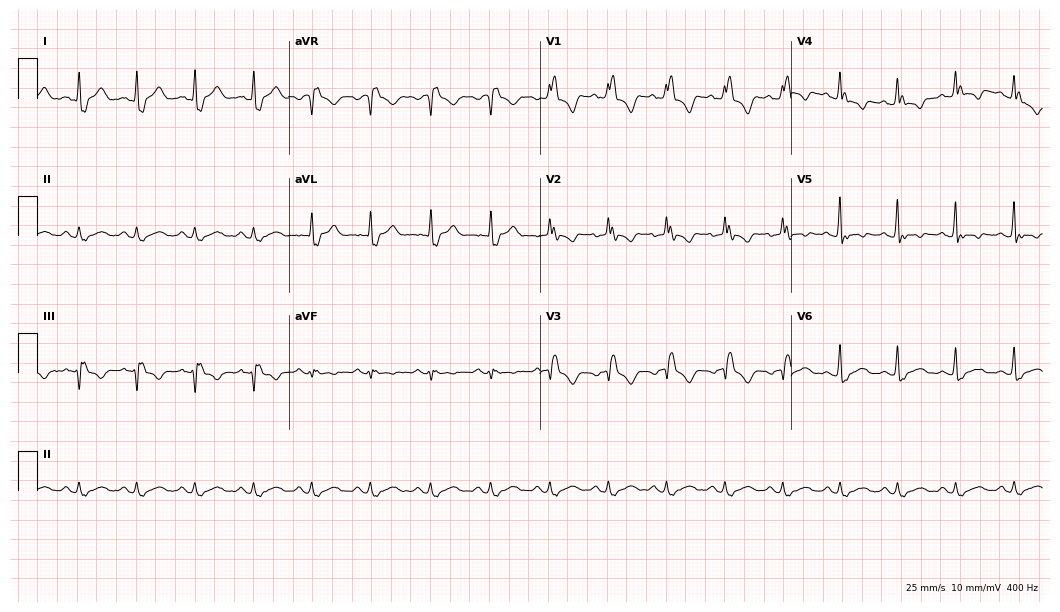
Standard 12-lead ECG recorded from a male, 49 years old (10.2-second recording at 400 Hz). None of these six findings is recorded: first-degree AV block, right bundle branch block, left bundle branch block, sinus bradycardia, atrial fibrillation, sinus tachycardia. Other findings, if any, are not listed.